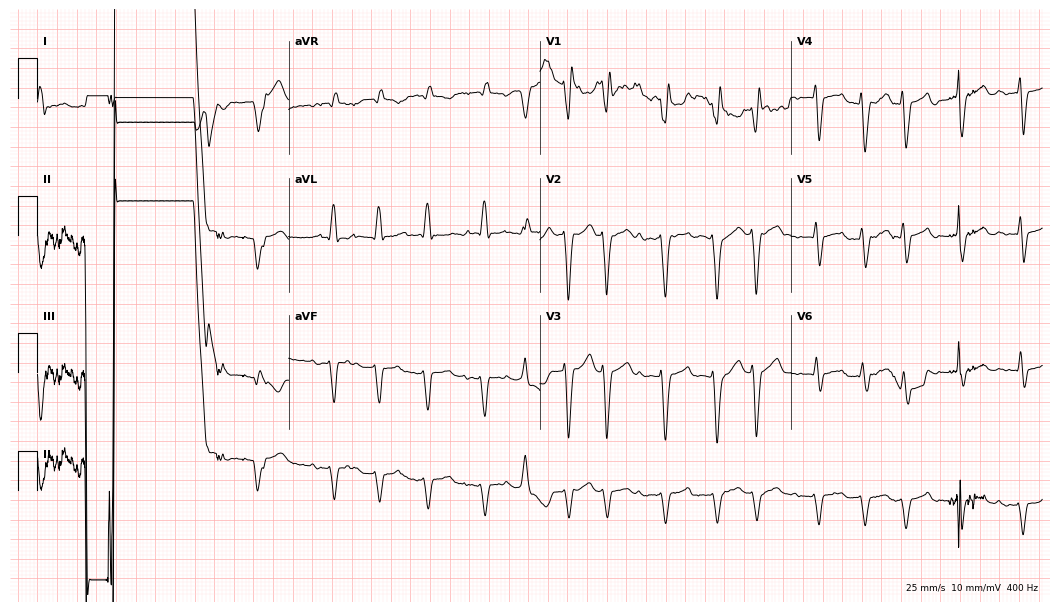
12-lead ECG (10.2-second recording at 400 Hz) from a male patient, 82 years old. Screened for six findings — first-degree AV block, right bundle branch block, left bundle branch block, sinus bradycardia, atrial fibrillation, sinus tachycardia — none is recorded. Findings outside these six are not listed.